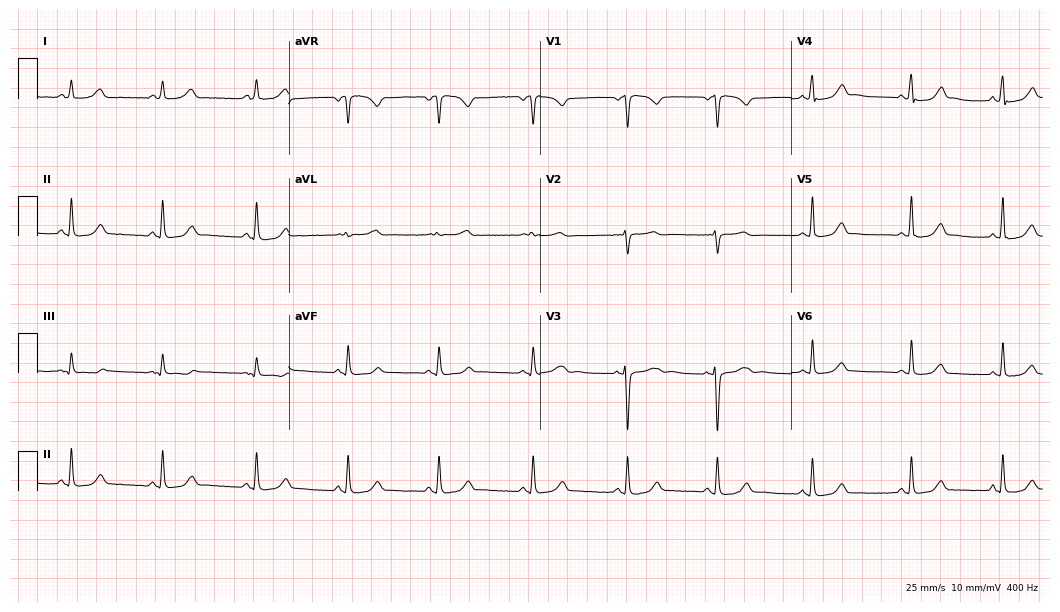
Electrocardiogram (10.2-second recording at 400 Hz), a female, 40 years old. Overall reading on record: normal ECG.